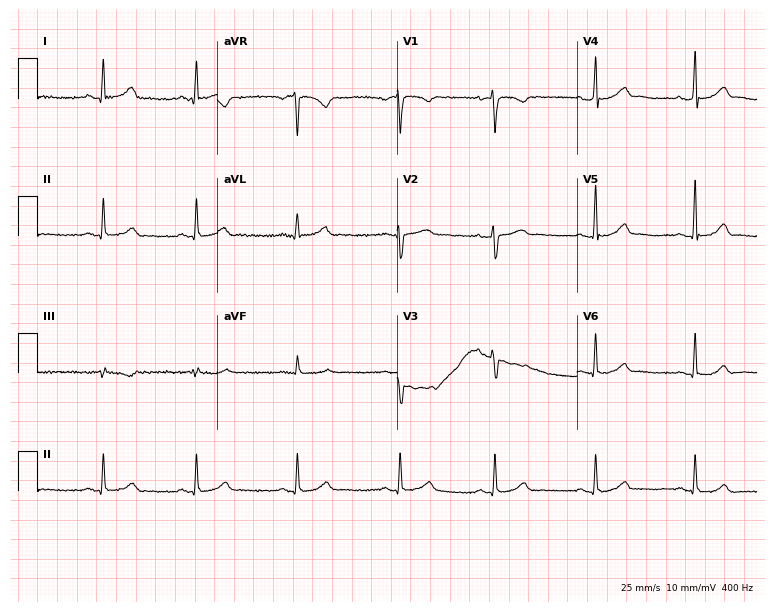
ECG (7.3-second recording at 400 Hz) — a 40-year-old female patient. Screened for six findings — first-degree AV block, right bundle branch block, left bundle branch block, sinus bradycardia, atrial fibrillation, sinus tachycardia — none is recorded. Findings outside these six are not listed.